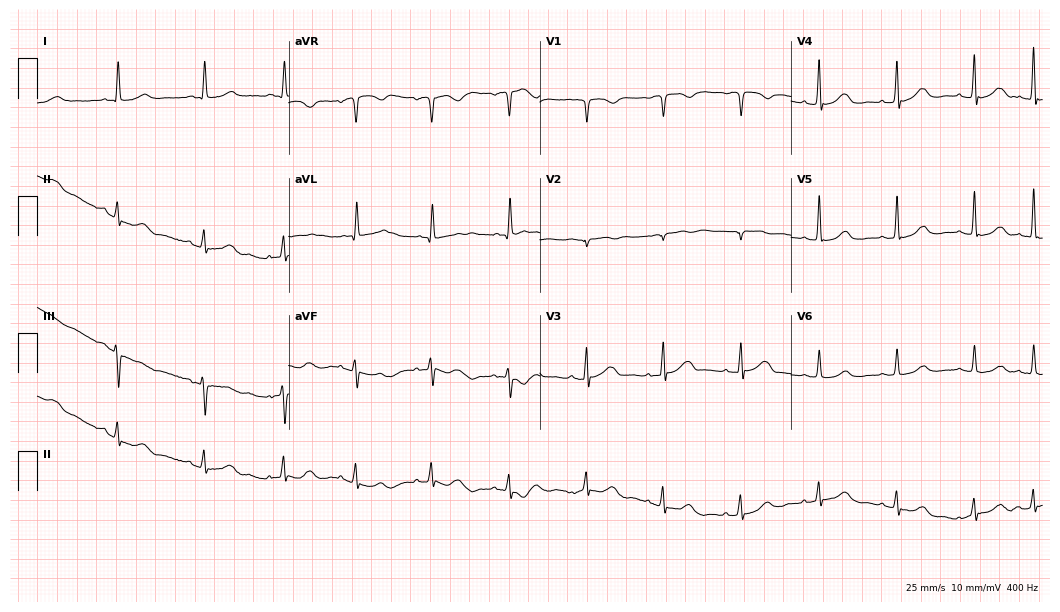
ECG — a female patient, 77 years old. Labelled as a normal ECG.